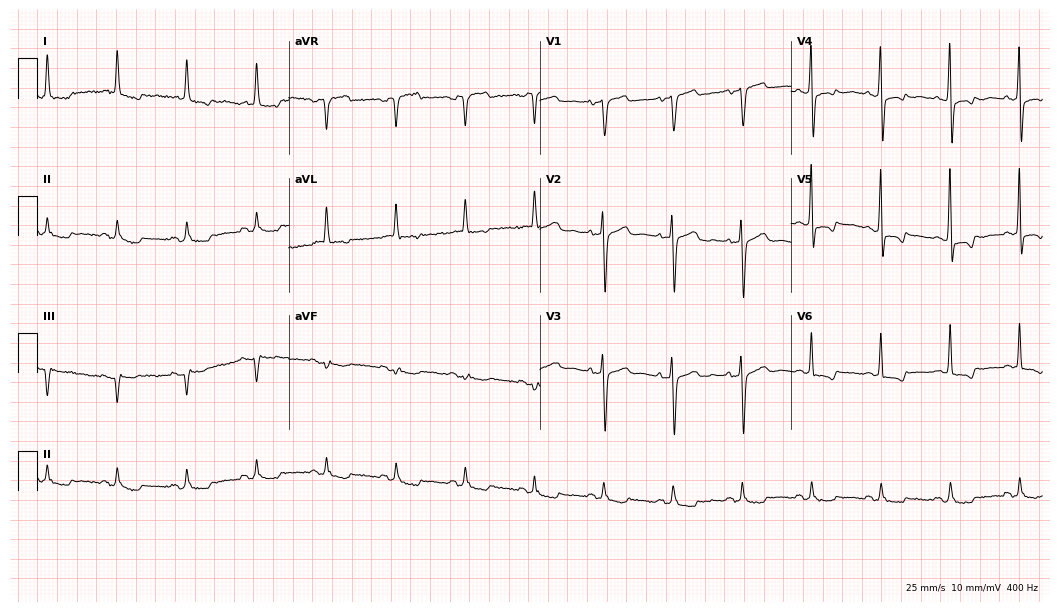
Electrocardiogram (10.2-second recording at 400 Hz), a female, 75 years old. Of the six screened findings (first-degree AV block, right bundle branch block (RBBB), left bundle branch block (LBBB), sinus bradycardia, atrial fibrillation (AF), sinus tachycardia), none is recorded.